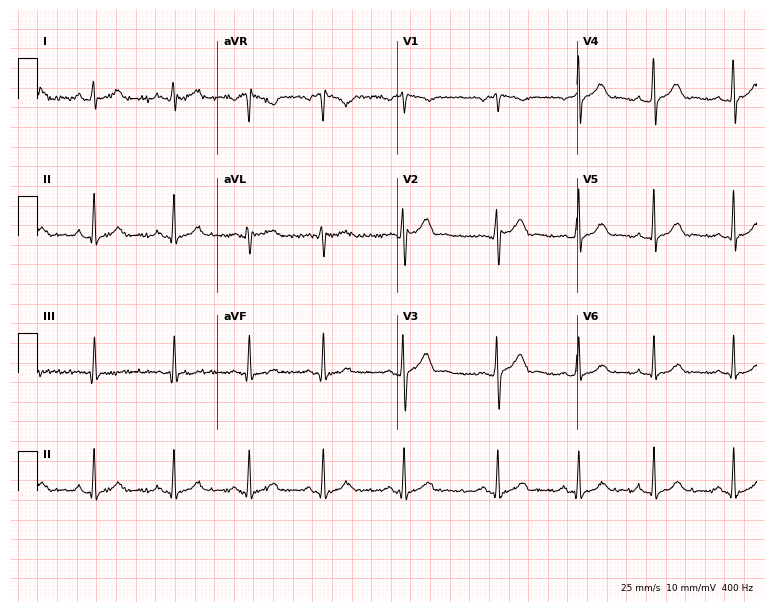
Standard 12-lead ECG recorded from a female, 27 years old (7.3-second recording at 400 Hz). Read as a normal ECG.